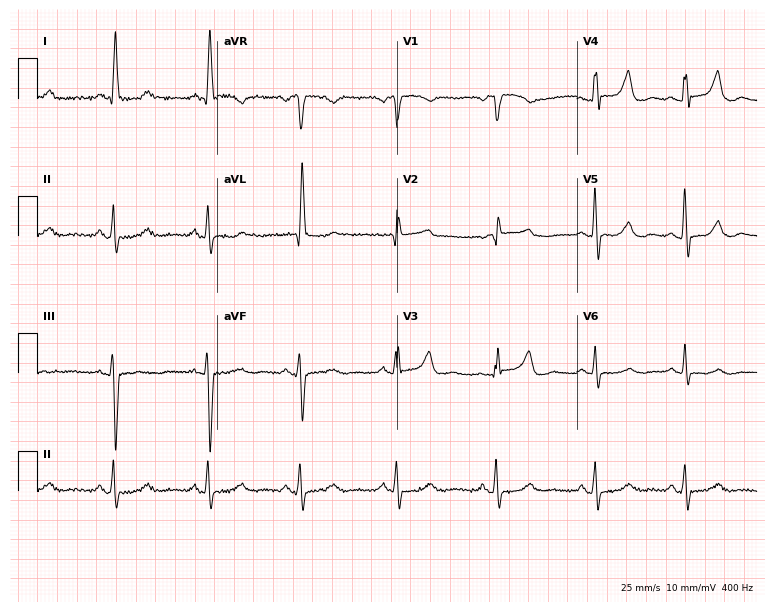
ECG (7.3-second recording at 400 Hz) — a 78-year-old female patient. Screened for six findings — first-degree AV block, right bundle branch block, left bundle branch block, sinus bradycardia, atrial fibrillation, sinus tachycardia — none is recorded.